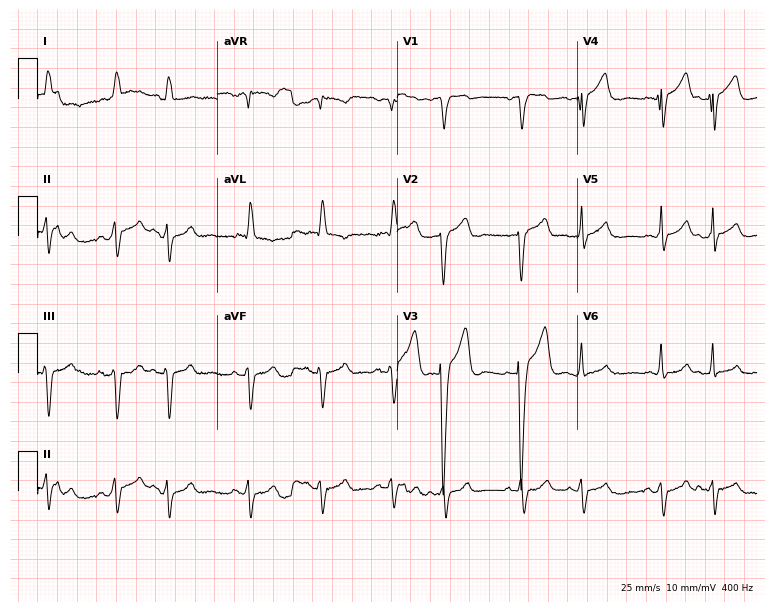
Resting 12-lead electrocardiogram. Patient: a male, 78 years old. None of these six findings is recorded: first-degree AV block, right bundle branch block (RBBB), left bundle branch block (LBBB), sinus bradycardia, atrial fibrillation (AF), sinus tachycardia.